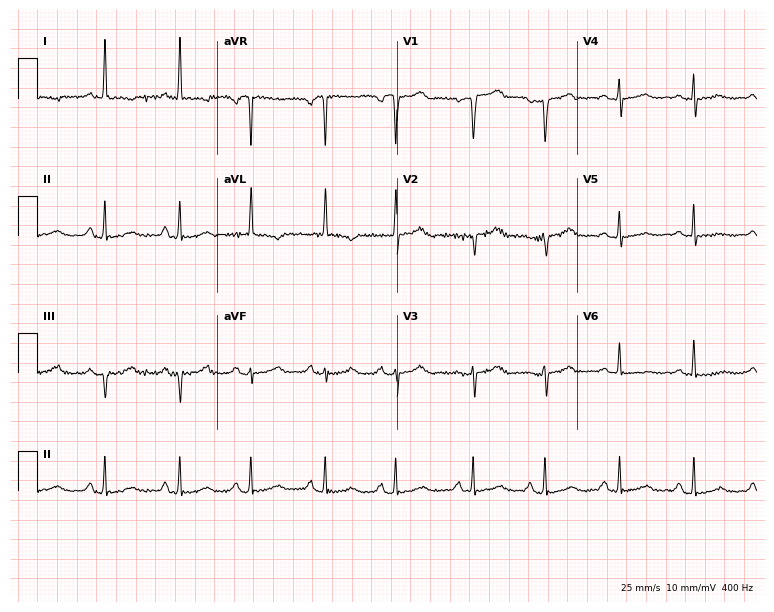
Standard 12-lead ECG recorded from a female patient, 61 years old. None of these six findings is recorded: first-degree AV block, right bundle branch block (RBBB), left bundle branch block (LBBB), sinus bradycardia, atrial fibrillation (AF), sinus tachycardia. Only these six findings were labelled.